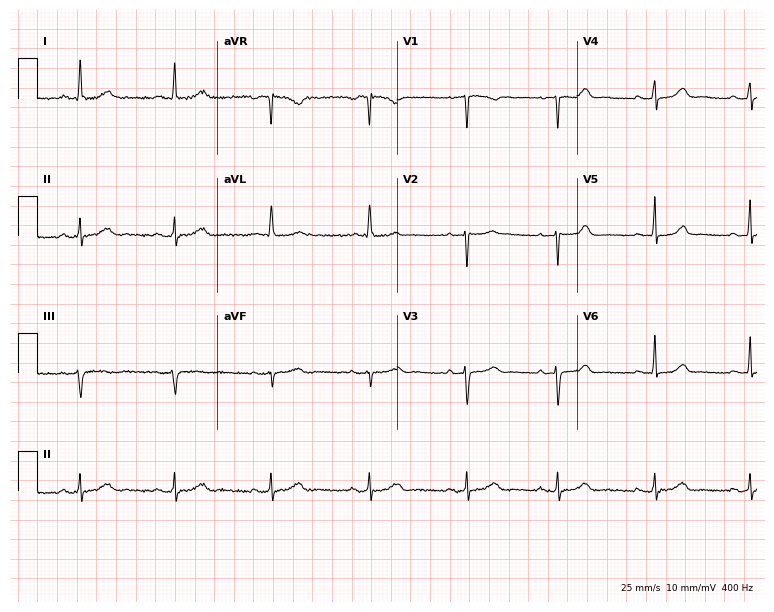
Electrocardiogram (7.3-second recording at 400 Hz), a 57-year-old female. Of the six screened findings (first-degree AV block, right bundle branch block (RBBB), left bundle branch block (LBBB), sinus bradycardia, atrial fibrillation (AF), sinus tachycardia), none is recorded.